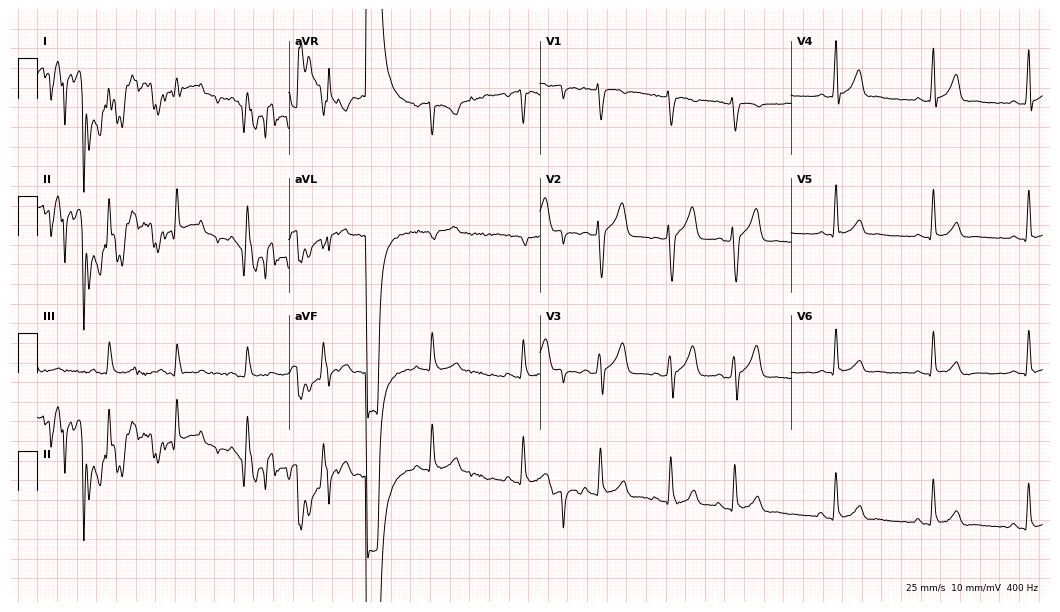
Standard 12-lead ECG recorded from a man, 31 years old (10.2-second recording at 400 Hz). Read as a normal ECG.